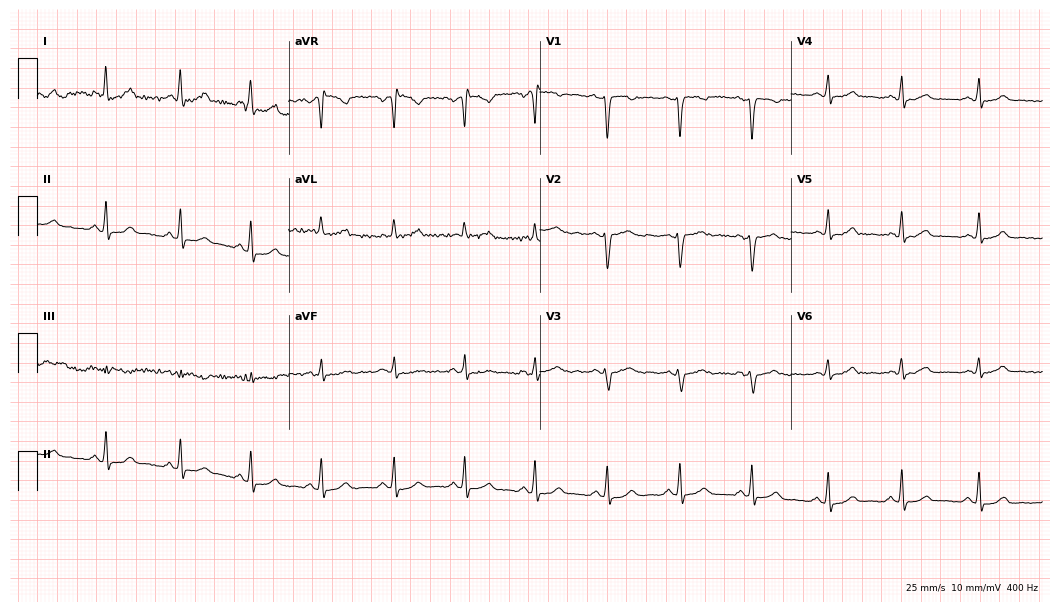
ECG — a woman, 28 years old. Screened for six findings — first-degree AV block, right bundle branch block (RBBB), left bundle branch block (LBBB), sinus bradycardia, atrial fibrillation (AF), sinus tachycardia — none is recorded.